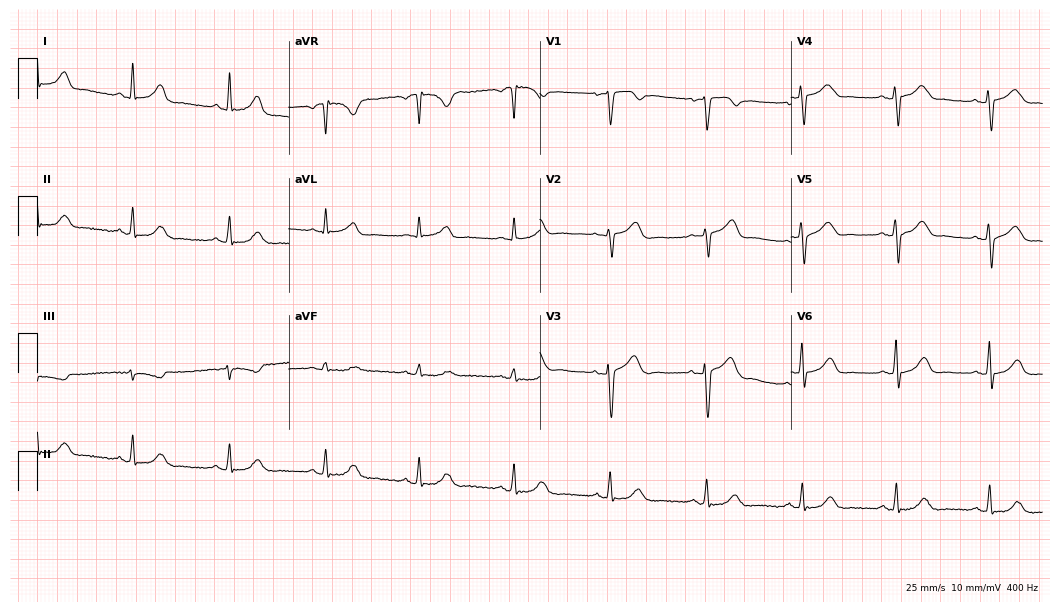
ECG (10.2-second recording at 400 Hz) — a 62-year-old female patient. Labelled as a normal ECG.